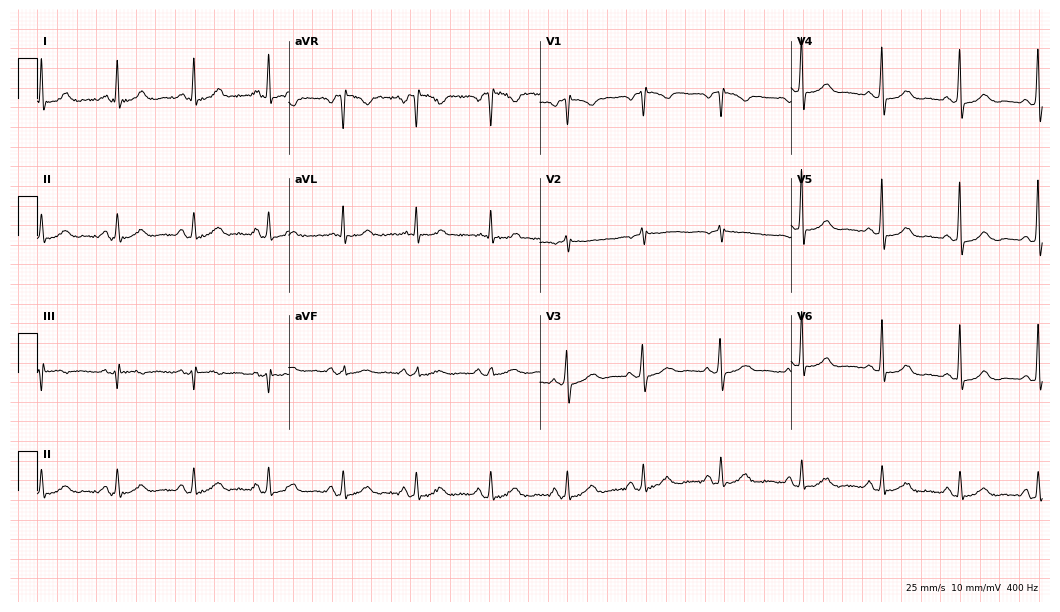
Electrocardiogram (10.2-second recording at 400 Hz), a female patient, 47 years old. Overall reading on record: normal ECG.